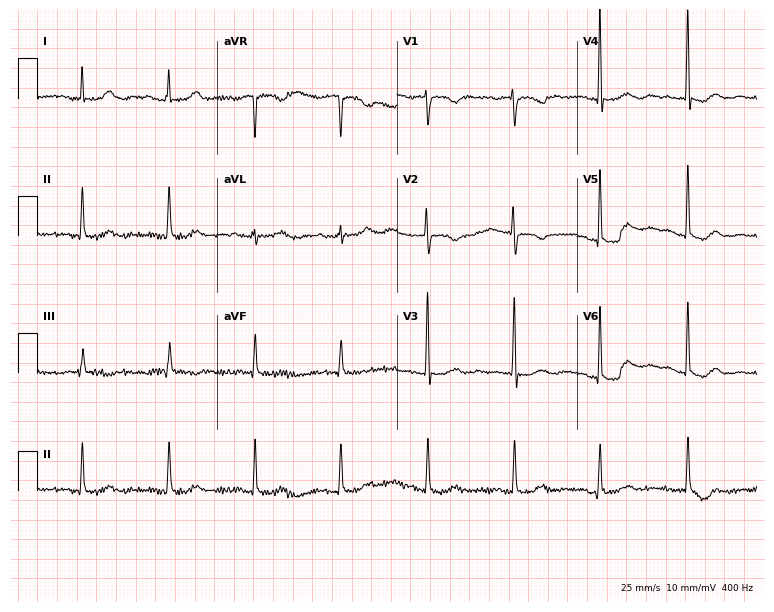
12-lead ECG from a woman, 84 years old. No first-degree AV block, right bundle branch block, left bundle branch block, sinus bradycardia, atrial fibrillation or sinus tachycardia recorded for this tracing.